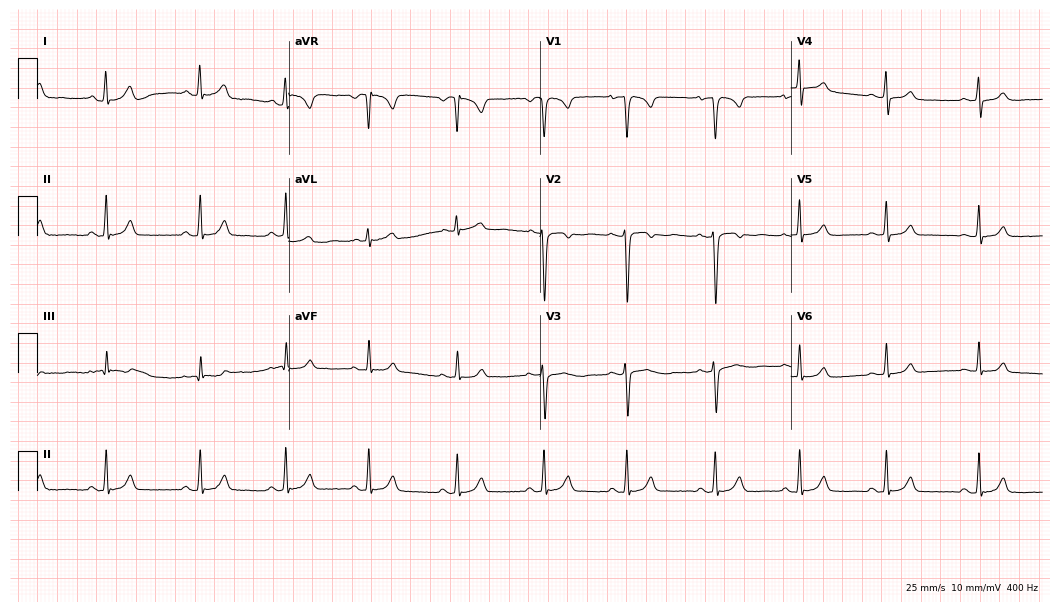
Resting 12-lead electrocardiogram (10.2-second recording at 400 Hz). Patient: a 25-year-old female. Read as a normal ECG.